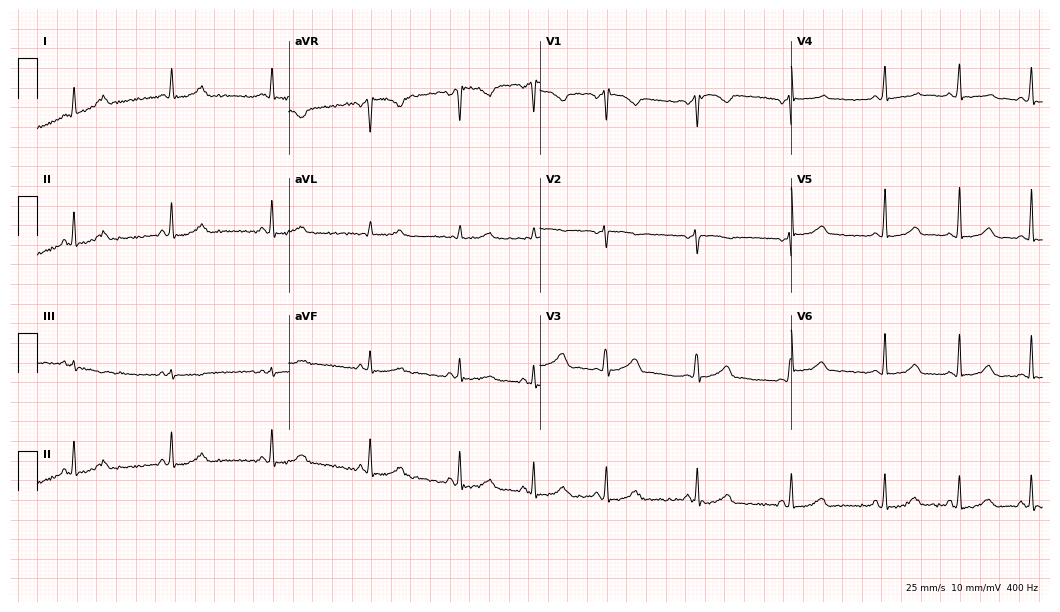
ECG (10.2-second recording at 400 Hz) — a 27-year-old female. Labelled as a normal ECG.